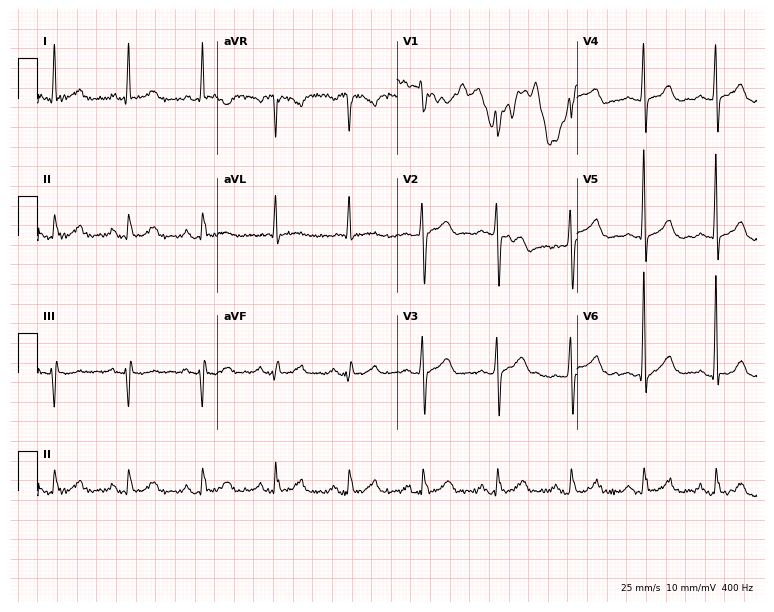
12-lead ECG (7.3-second recording at 400 Hz) from a 77-year-old man. Screened for six findings — first-degree AV block, right bundle branch block (RBBB), left bundle branch block (LBBB), sinus bradycardia, atrial fibrillation (AF), sinus tachycardia — none is recorded.